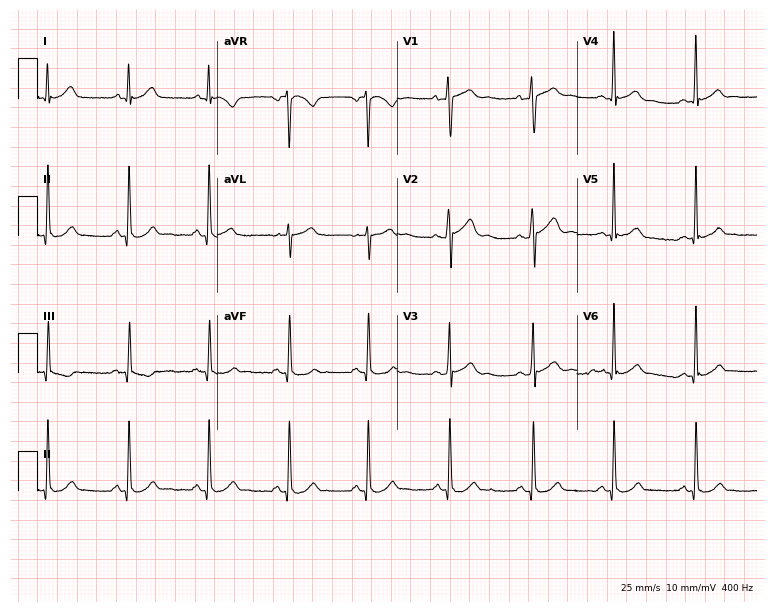
Electrocardiogram, a man, 32 years old. Overall reading on record: normal ECG.